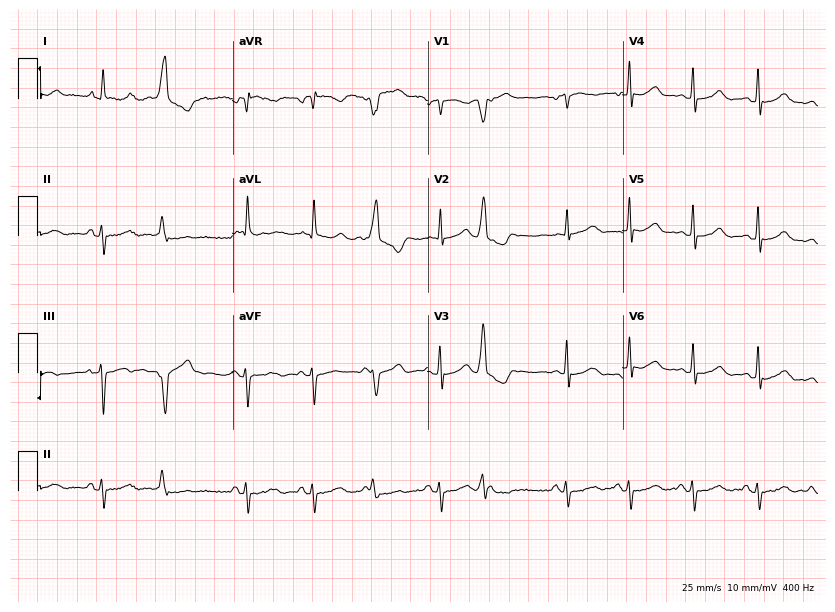
12-lead ECG from a male patient, 80 years old. No first-degree AV block, right bundle branch block, left bundle branch block, sinus bradycardia, atrial fibrillation or sinus tachycardia recorded for this tracing. Only these six findings were labelled.